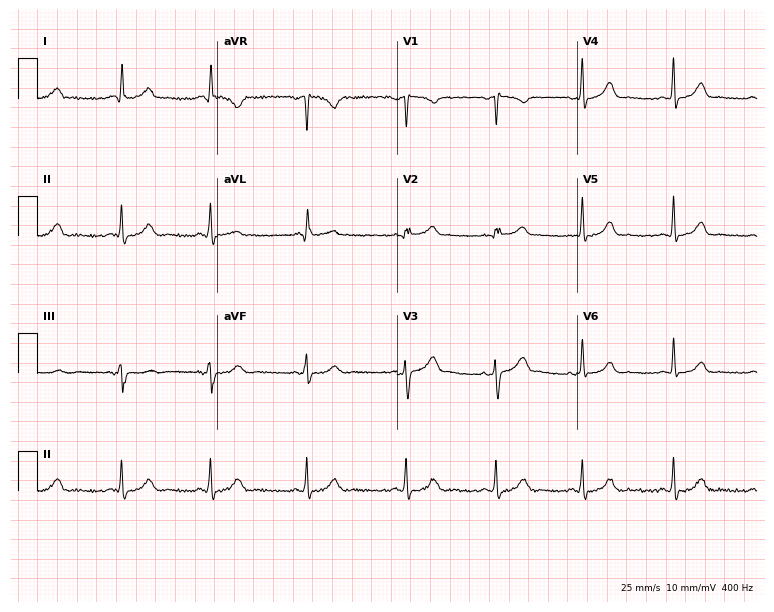
Standard 12-lead ECG recorded from a 30-year-old female patient (7.3-second recording at 400 Hz). None of these six findings is recorded: first-degree AV block, right bundle branch block (RBBB), left bundle branch block (LBBB), sinus bradycardia, atrial fibrillation (AF), sinus tachycardia. Other findings, if any, are not listed.